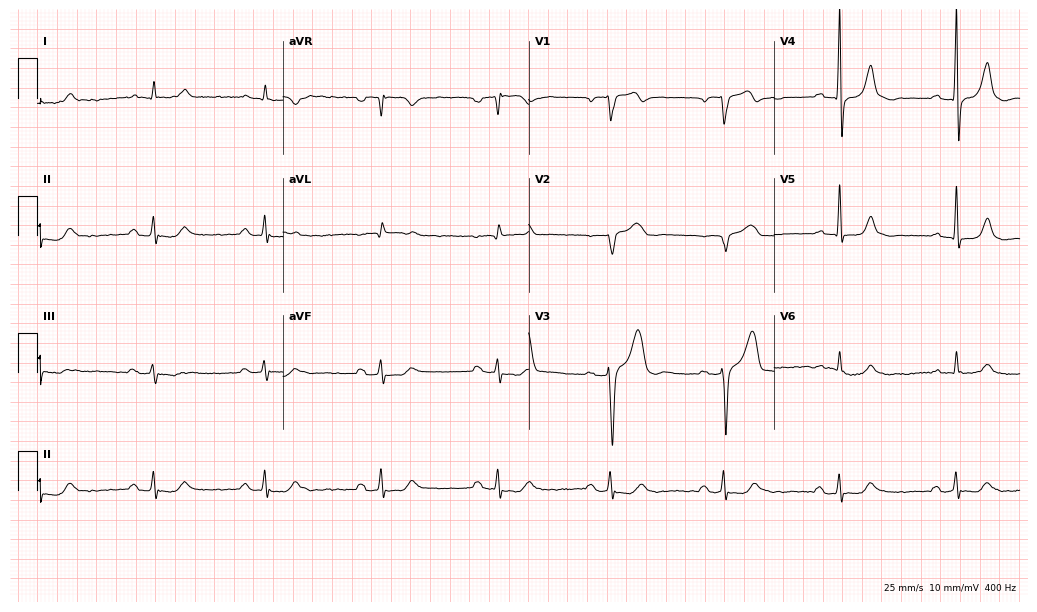
Standard 12-lead ECG recorded from a 69-year-old male patient (10-second recording at 400 Hz). The tracing shows first-degree AV block.